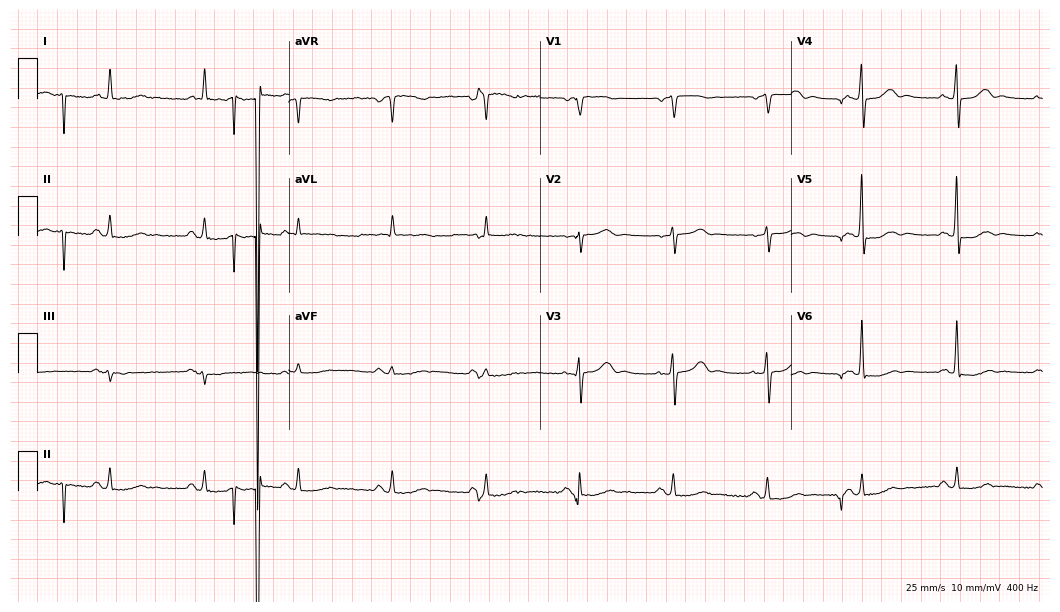
ECG (10.2-second recording at 400 Hz) — a 77-year-old man. Screened for six findings — first-degree AV block, right bundle branch block, left bundle branch block, sinus bradycardia, atrial fibrillation, sinus tachycardia — none is recorded. Findings outside these six are not listed.